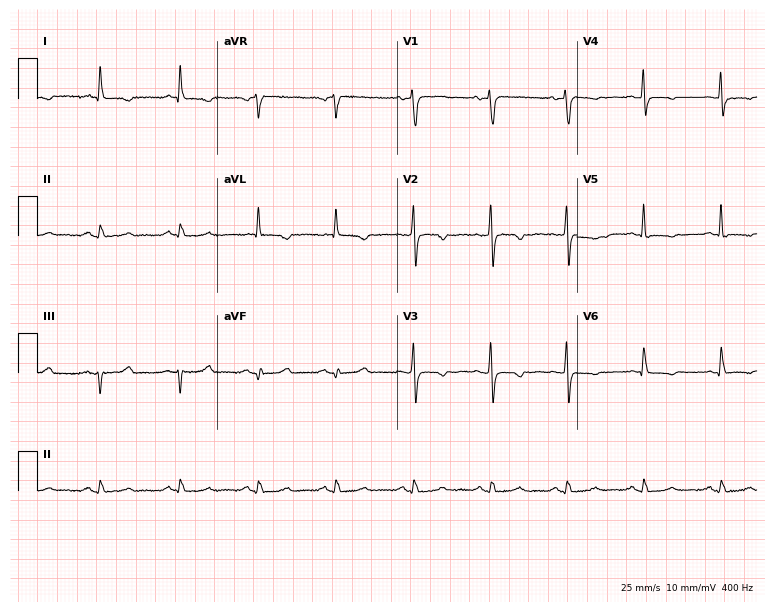
ECG — a 69-year-old female. Screened for six findings — first-degree AV block, right bundle branch block, left bundle branch block, sinus bradycardia, atrial fibrillation, sinus tachycardia — none is recorded.